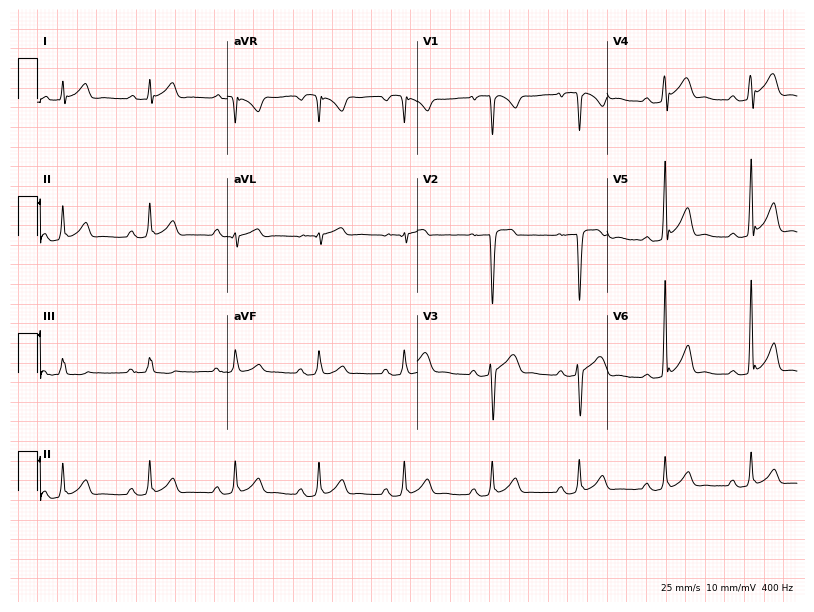
Resting 12-lead electrocardiogram. Patient: a 21-year-old male. None of these six findings is recorded: first-degree AV block, right bundle branch block, left bundle branch block, sinus bradycardia, atrial fibrillation, sinus tachycardia.